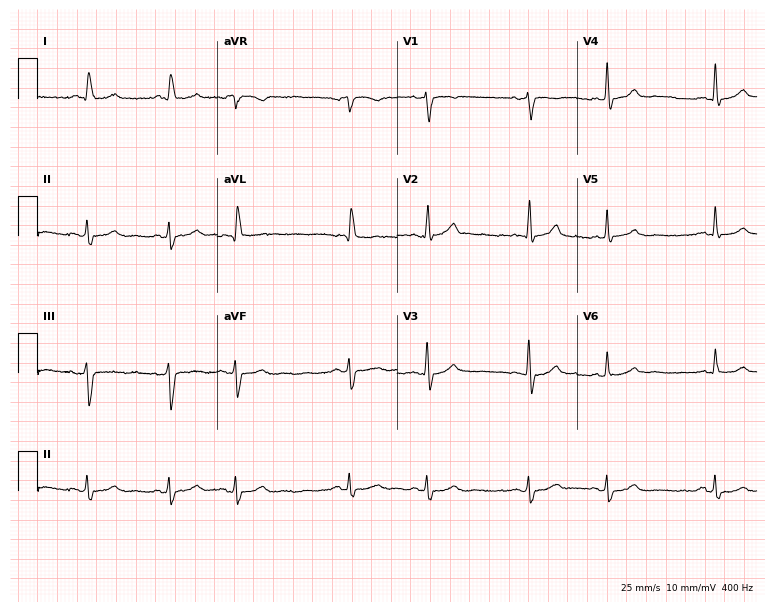
Standard 12-lead ECG recorded from a male, 82 years old. Read as a normal ECG.